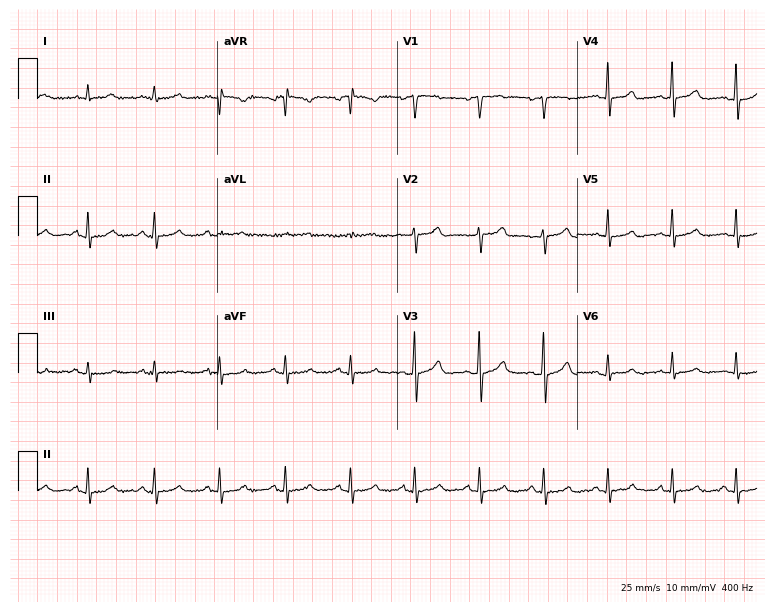
Electrocardiogram (7.3-second recording at 400 Hz), a male, 71 years old. Overall reading on record: normal ECG.